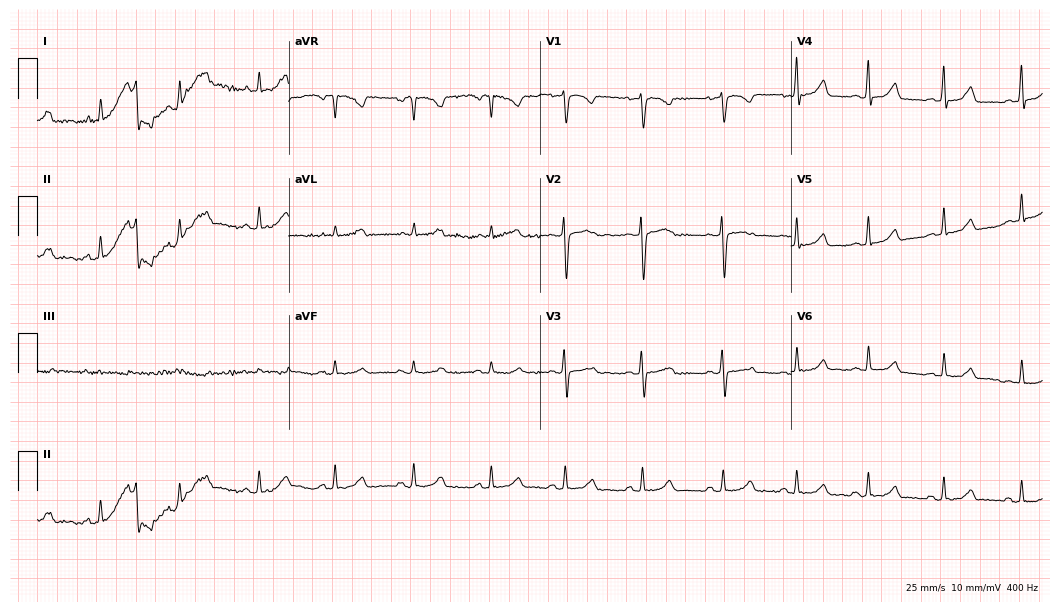
ECG — a female, 22 years old. Screened for six findings — first-degree AV block, right bundle branch block (RBBB), left bundle branch block (LBBB), sinus bradycardia, atrial fibrillation (AF), sinus tachycardia — none is recorded.